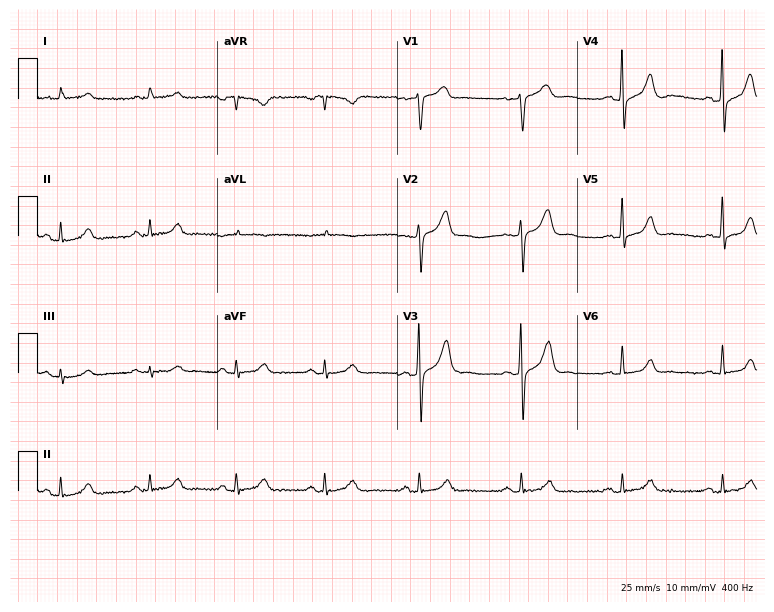
12-lead ECG from a 77-year-old male patient. Labelled as a normal ECG.